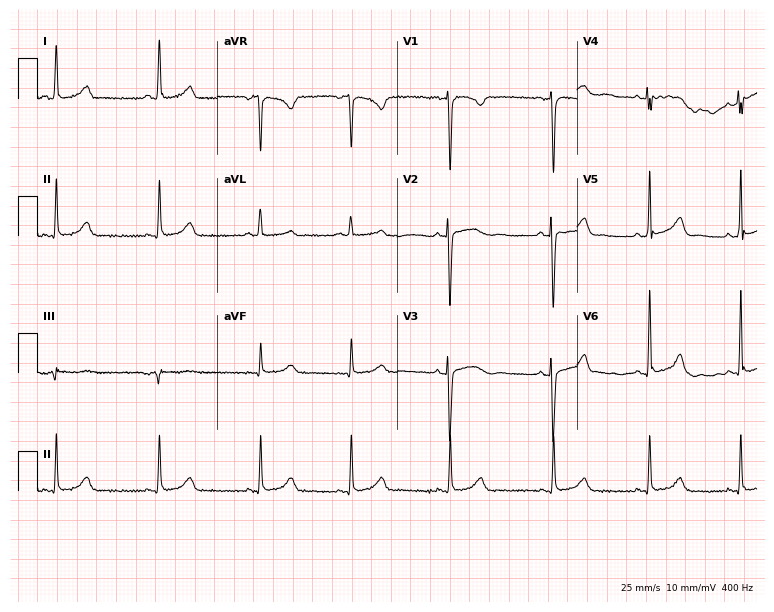
ECG — a 41-year-old woman. Labelled as a normal ECG.